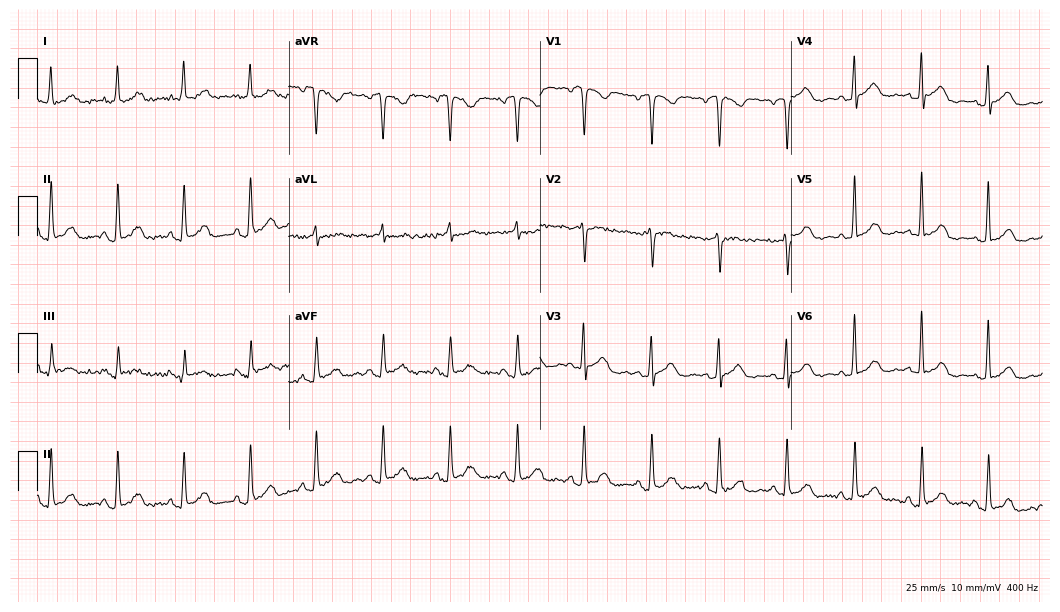
ECG (10.2-second recording at 400 Hz) — a female patient, 74 years old. Labelled as a normal ECG.